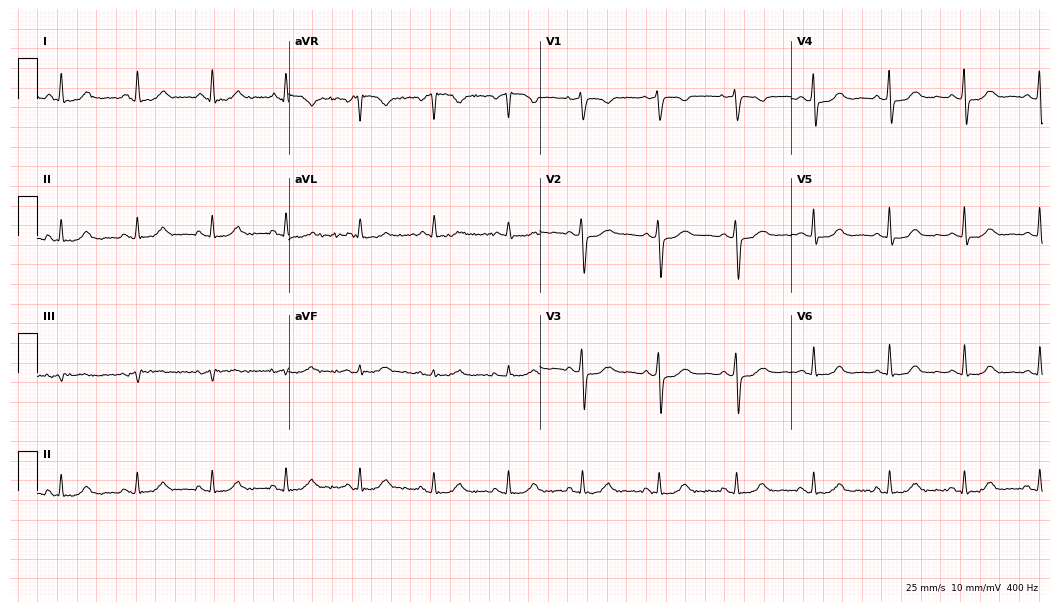
ECG — a 52-year-old female. Screened for six findings — first-degree AV block, right bundle branch block, left bundle branch block, sinus bradycardia, atrial fibrillation, sinus tachycardia — none is recorded.